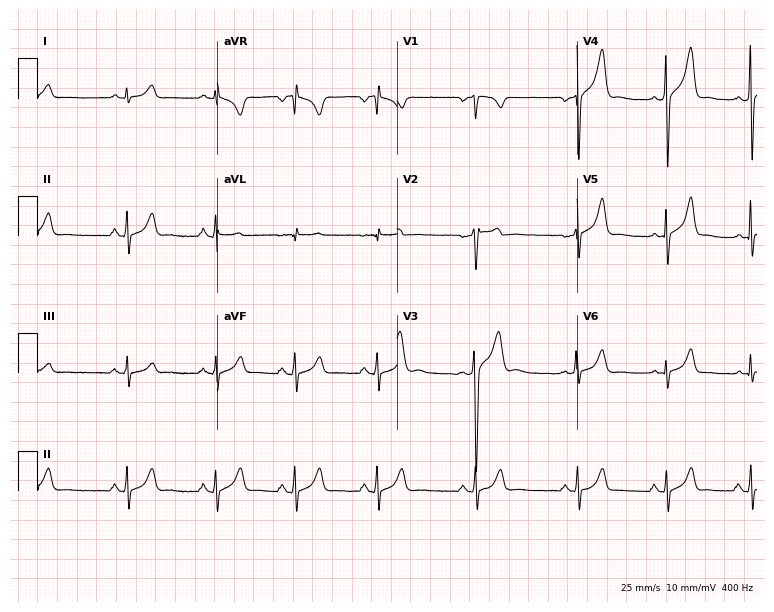
Resting 12-lead electrocardiogram (7.3-second recording at 400 Hz). Patient: a 30-year-old male. None of these six findings is recorded: first-degree AV block, right bundle branch block (RBBB), left bundle branch block (LBBB), sinus bradycardia, atrial fibrillation (AF), sinus tachycardia. Other findings, if any, are not listed.